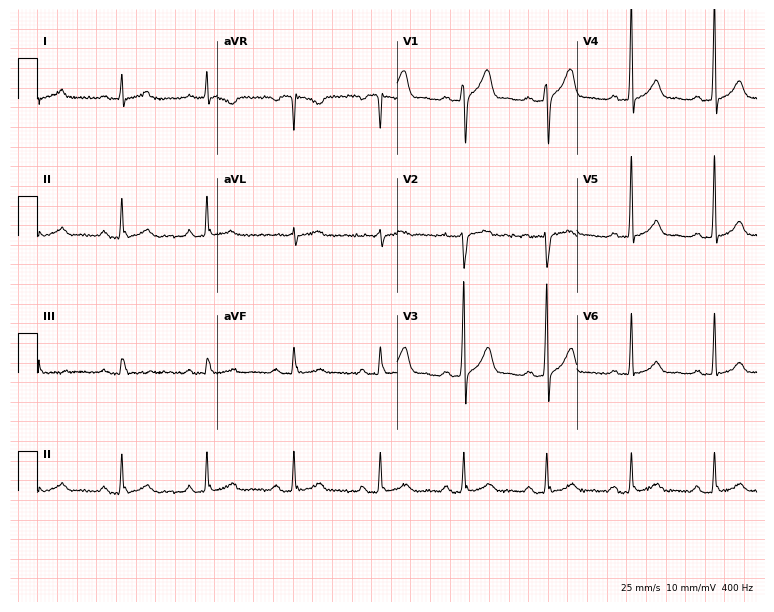
12-lead ECG from a 41-year-old male (7.3-second recording at 400 Hz). No first-degree AV block, right bundle branch block, left bundle branch block, sinus bradycardia, atrial fibrillation or sinus tachycardia recorded for this tracing. Findings outside these six are not listed.